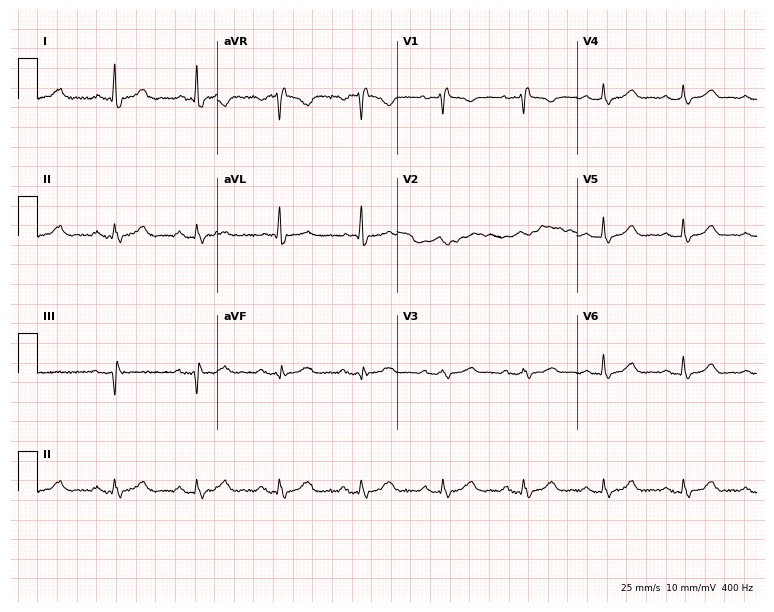
Electrocardiogram (7.3-second recording at 400 Hz), a 61-year-old female patient. Interpretation includes right bundle branch block (RBBB).